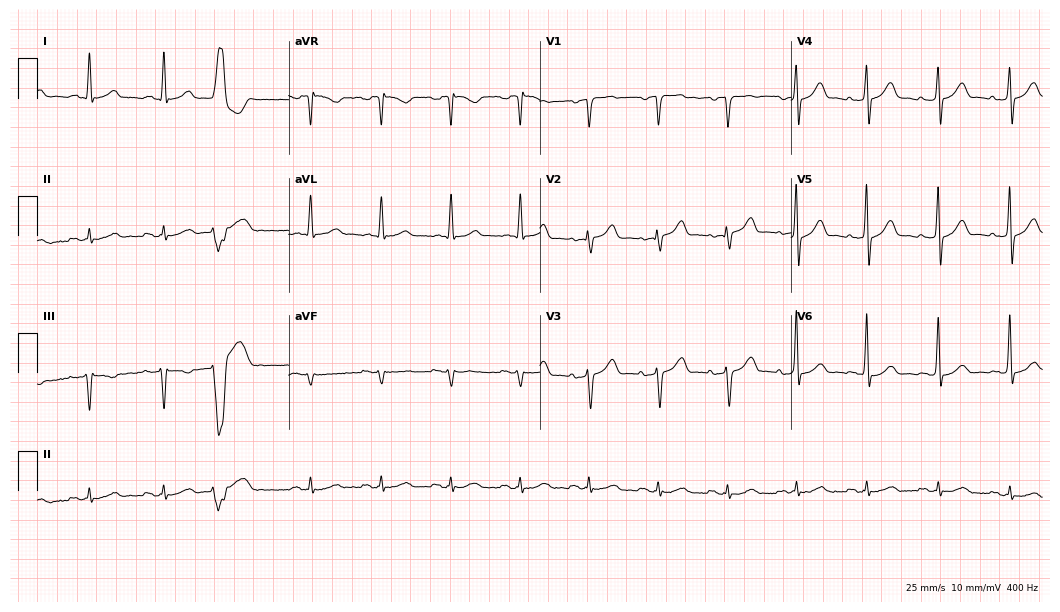
ECG (10.2-second recording at 400 Hz) — a male, 57 years old. Screened for six findings — first-degree AV block, right bundle branch block, left bundle branch block, sinus bradycardia, atrial fibrillation, sinus tachycardia — none is recorded.